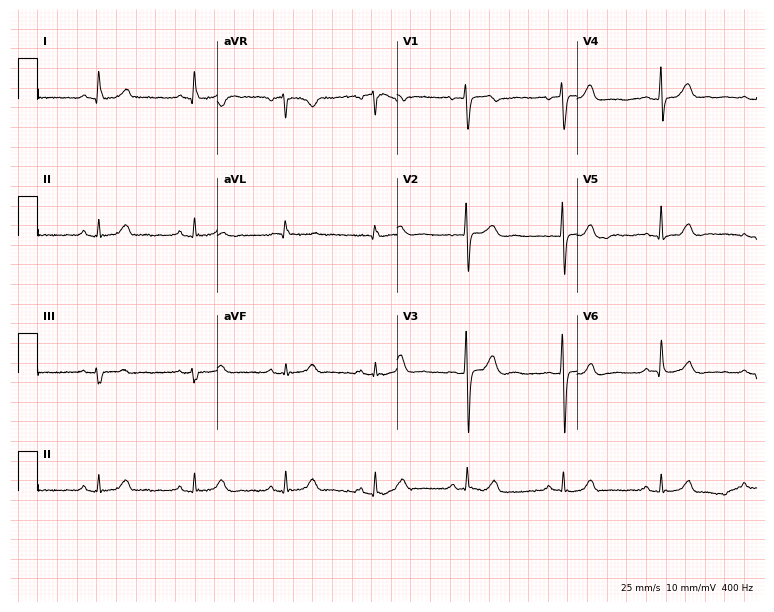
12-lead ECG from a 49-year-old female patient. Labelled as a normal ECG.